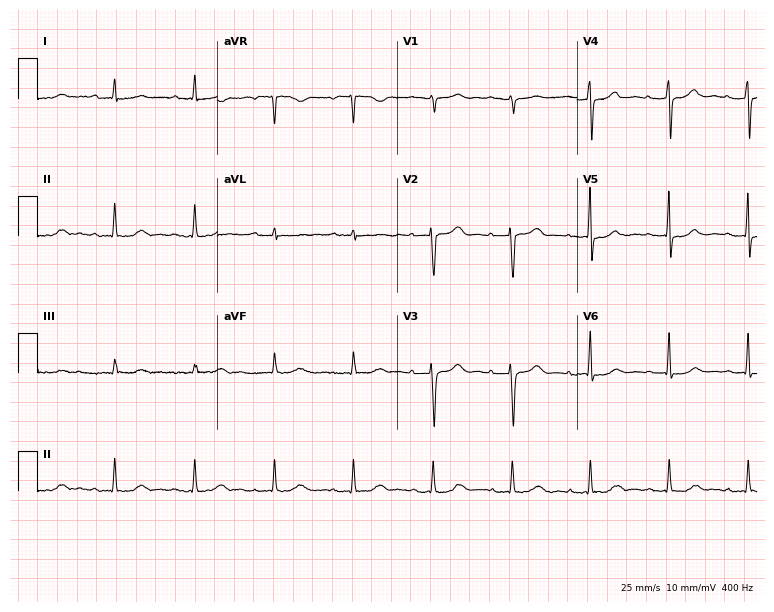
Electrocardiogram (7.3-second recording at 400 Hz), a female patient, 51 years old. Overall reading on record: normal ECG.